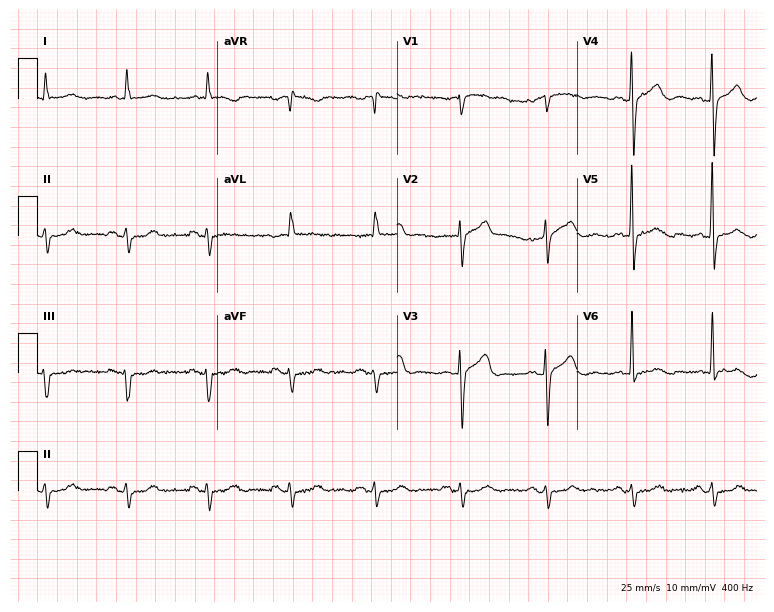
12-lead ECG (7.3-second recording at 400 Hz) from an 86-year-old man. Screened for six findings — first-degree AV block, right bundle branch block (RBBB), left bundle branch block (LBBB), sinus bradycardia, atrial fibrillation (AF), sinus tachycardia — none is recorded.